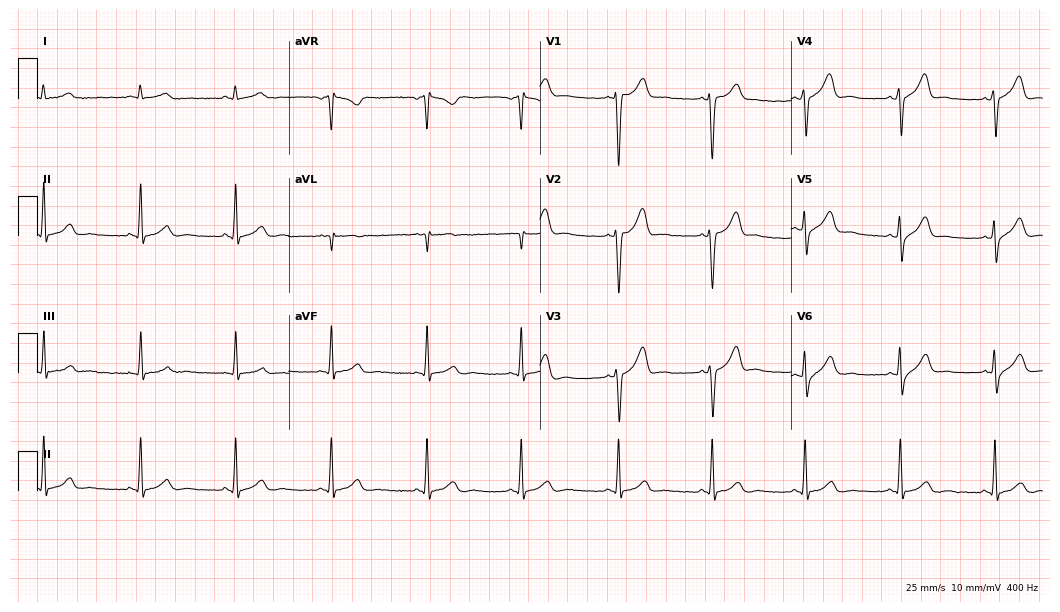
Resting 12-lead electrocardiogram (10.2-second recording at 400 Hz). Patient: a male, 28 years old. None of these six findings is recorded: first-degree AV block, right bundle branch block, left bundle branch block, sinus bradycardia, atrial fibrillation, sinus tachycardia.